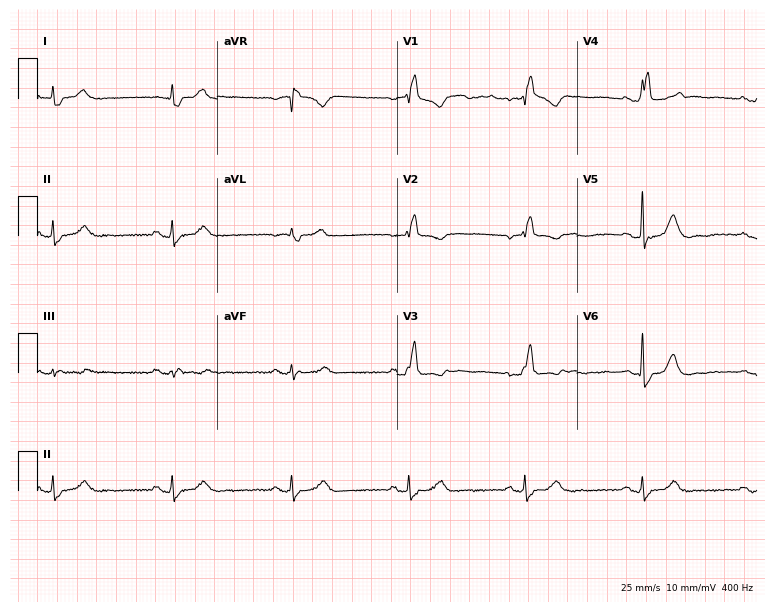
ECG — a 75-year-old male patient. Screened for six findings — first-degree AV block, right bundle branch block (RBBB), left bundle branch block (LBBB), sinus bradycardia, atrial fibrillation (AF), sinus tachycardia — none is recorded. Other findings, if any, are not listed.